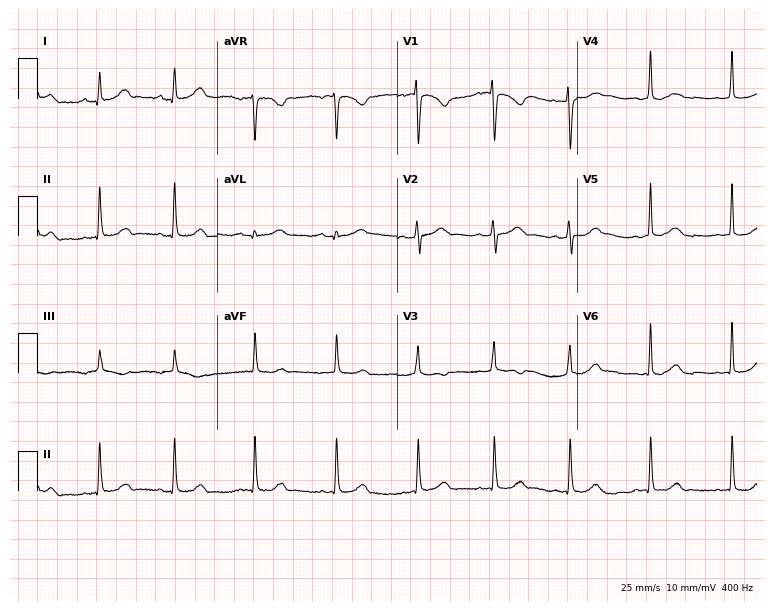
12-lead ECG from a 20-year-old woman. Recorded interpretation: within normal limits.